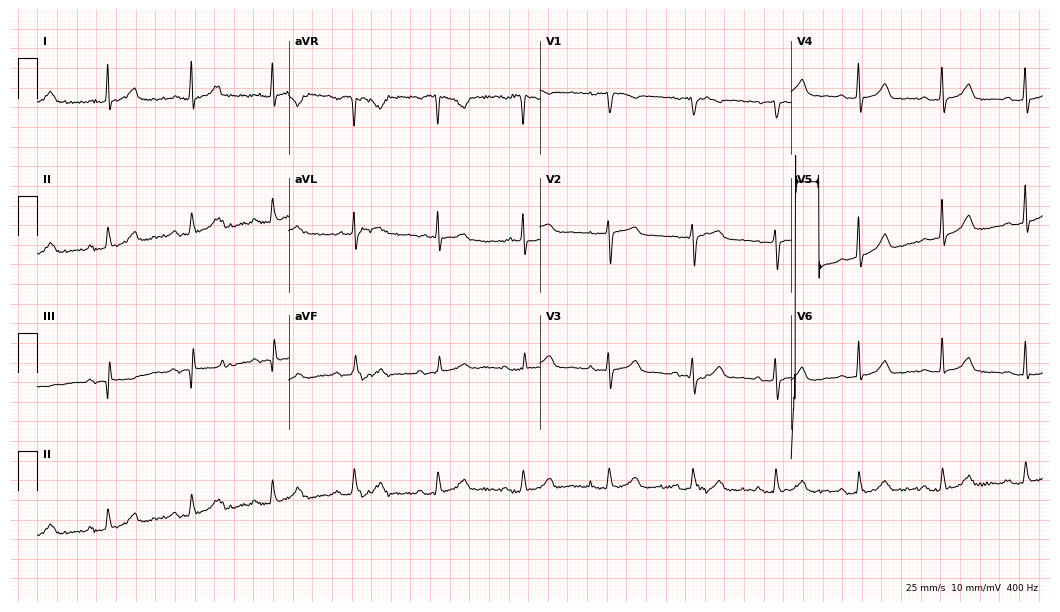
12-lead ECG from an 83-year-old woman (10.2-second recording at 400 Hz). No first-degree AV block, right bundle branch block (RBBB), left bundle branch block (LBBB), sinus bradycardia, atrial fibrillation (AF) or sinus tachycardia recorded for this tracing.